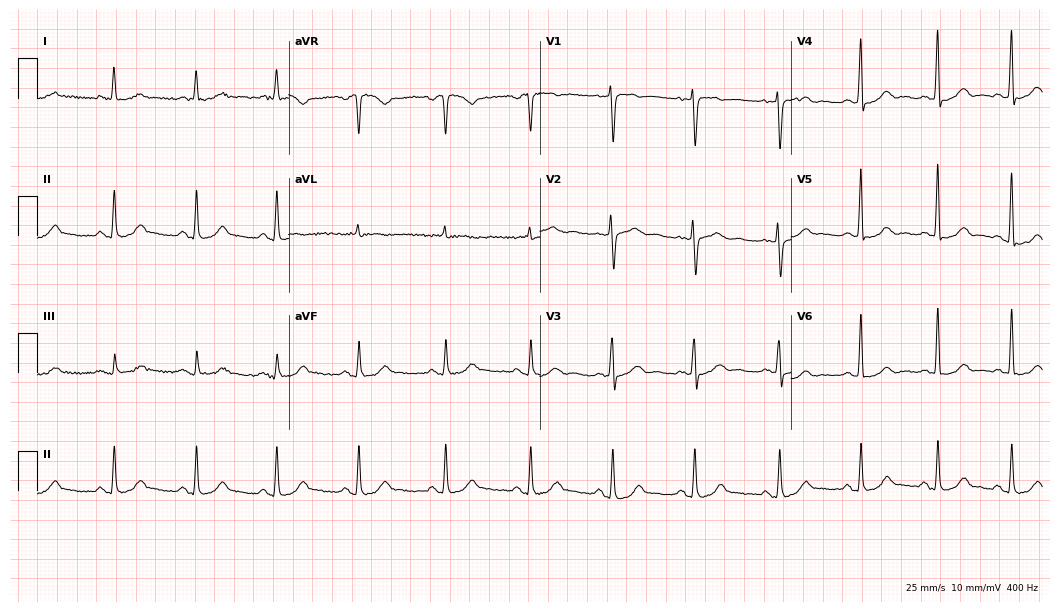
ECG (10.2-second recording at 400 Hz) — a female patient, 53 years old. Labelled as a normal ECG.